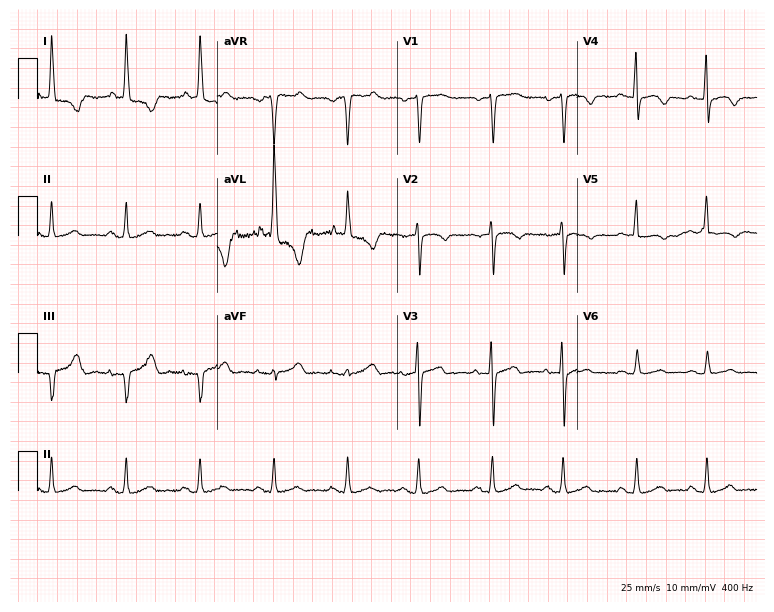
Standard 12-lead ECG recorded from an 82-year-old female patient. None of these six findings is recorded: first-degree AV block, right bundle branch block, left bundle branch block, sinus bradycardia, atrial fibrillation, sinus tachycardia.